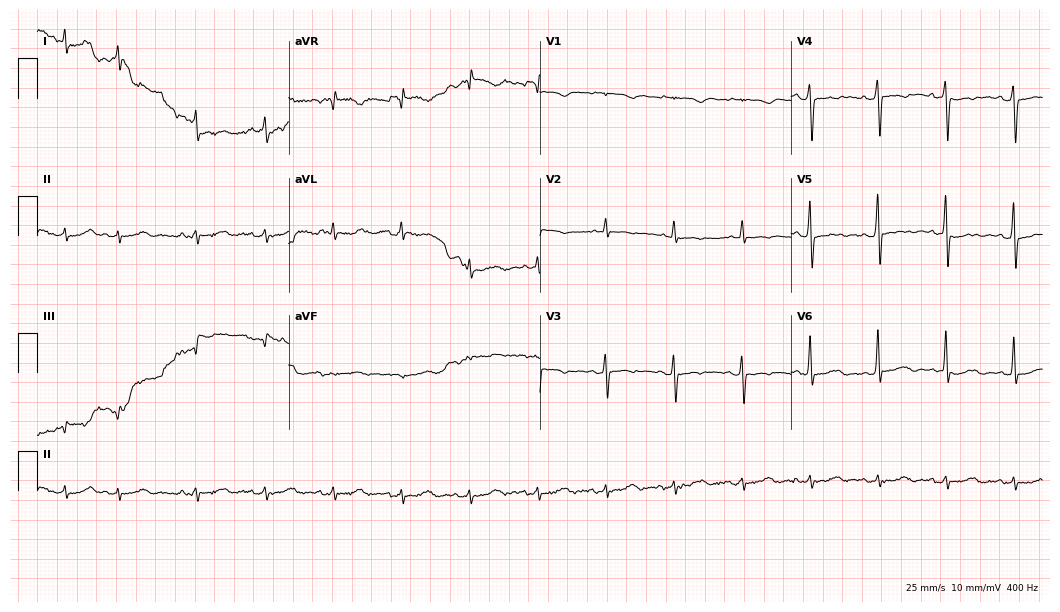
Standard 12-lead ECG recorded from a 71-year-old woman. None of these six findings is recorded: first-degree AV block, right bundle branch block (RBBB), left bundle branch block (LBBB), sinus bradycardia, atrial fibrillation (AF), sinus tachycardia. Findings outside these six are not listed.